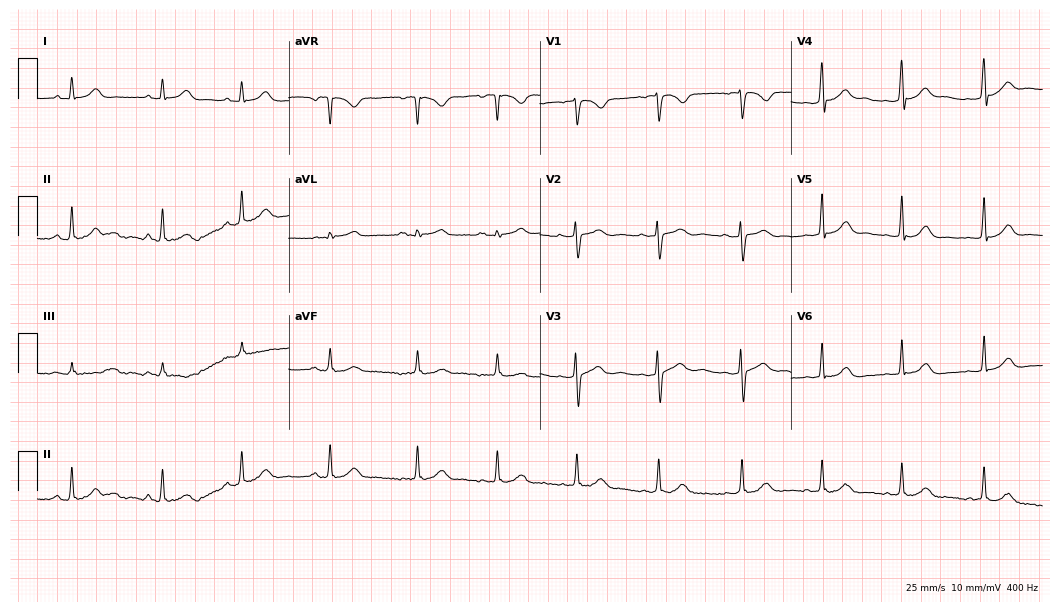
Standard 12-lead ECG recorded from a 24-year-old woman. Read as a normal ECG.